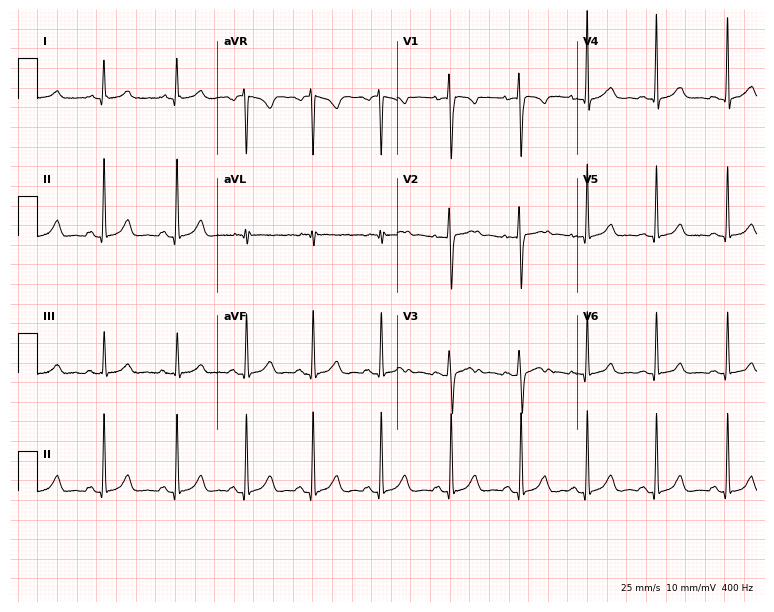
12-lead ECG from a 22-year-old woman. Labelled as a normal ECG.